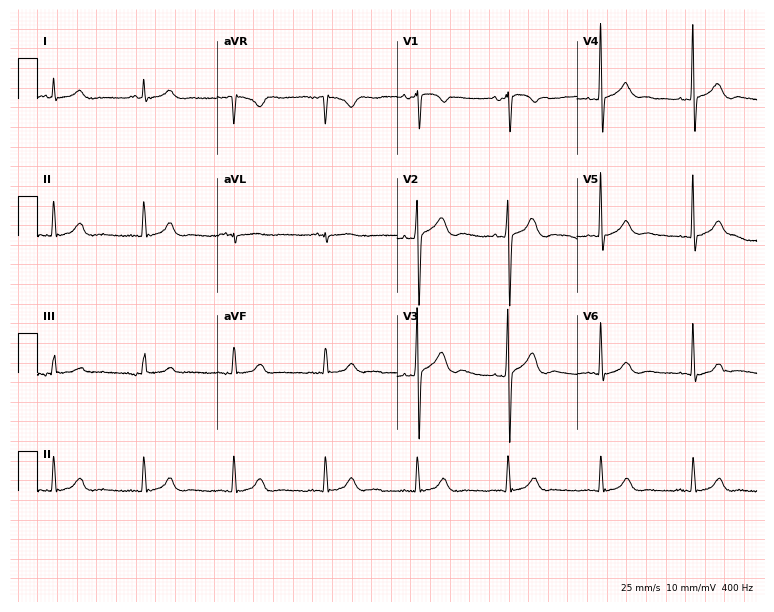
Standard 12-lead ECG recorded from an 84-year-old female patient (7.3-second recording at 400 Hz). Read as a normal ECG.